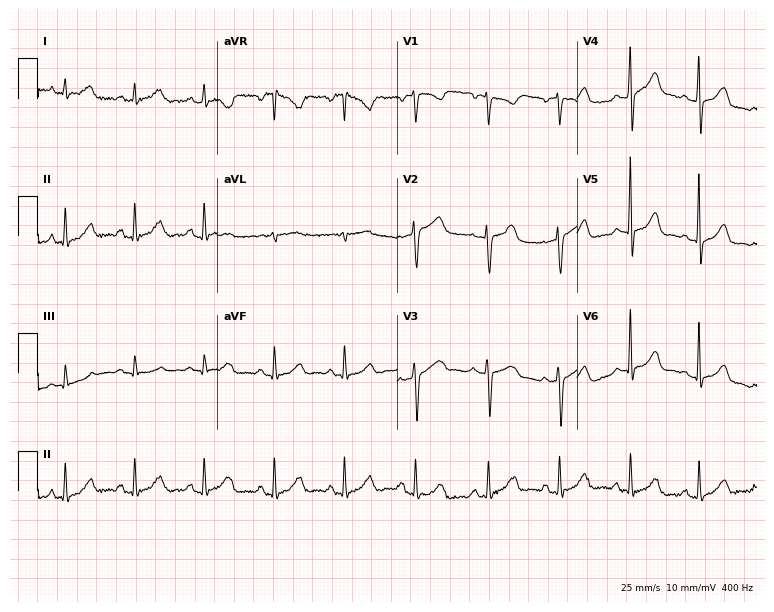
Standard 12-lead ECG recorded from a woman, 52 years old (7.3-second recording at 400 Hz). None of these six findings is recorded: first-degree AV block, right bundle branch block, left bundle branch block, sinus bradycardia, atrial fibrillation, sinus tachycardia.